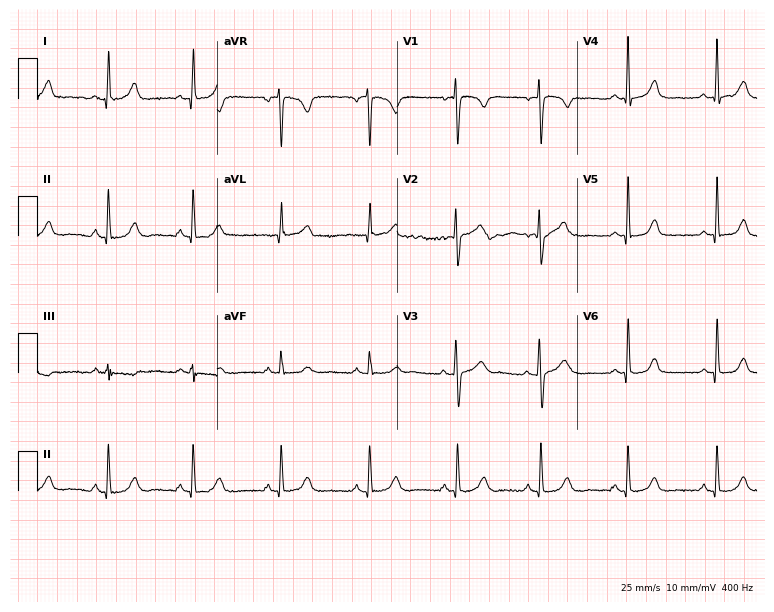
Resting 12-lead electrocardiogram (7.3-second recording at 400 Hz). Patient: a 35-year-old female. None of these six findings is recorded: first-degree AV block, right bundle branch block, left bundle branch block, sinus bradycardia, atrial fibrillation, sinus tachycardia.